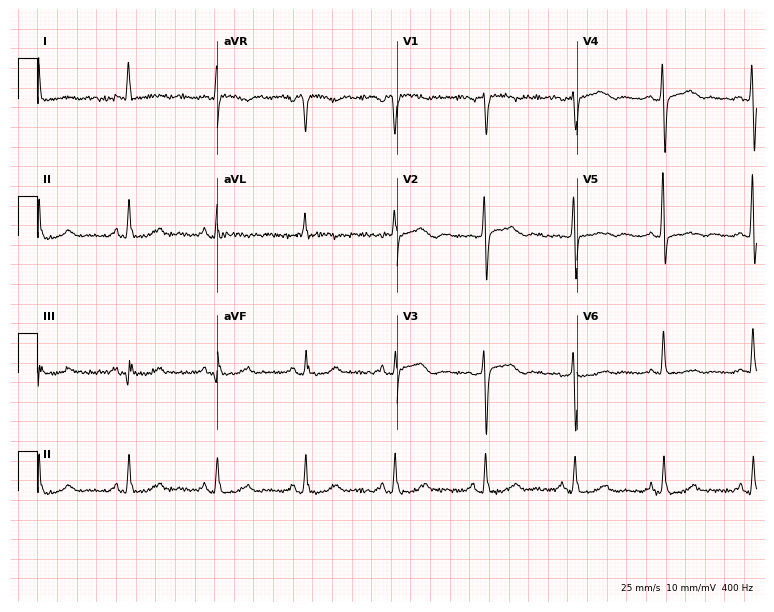
Electrocardiogram (7.3-second recording at 400 Hz), a 60-year-old female. Of the six screened findings (first-degree AV block, right bundle branch block (RBBB), left bundle branch block (LBBB), sinus bradycardia, atrial fibrillation (AF), sinus tachycardia), none is recorded.